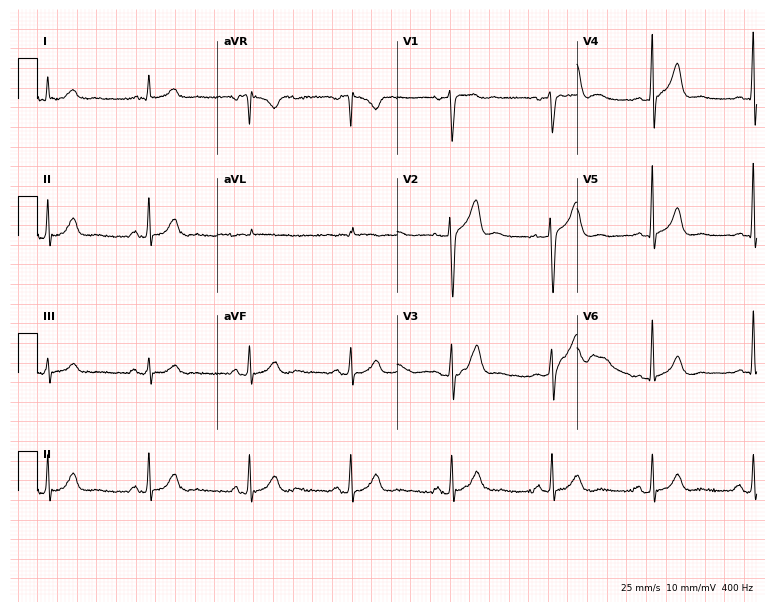
Resting 12-lead electrocardiogram (7.3-second recording at 400 Hz). Patient: a male, 66 years old. None of these six findings is recorded: first-degree AV block, right bundle branch block, left bundle branch block, sinus bradycardia, atrial fibrillation, sinus tachycardia.